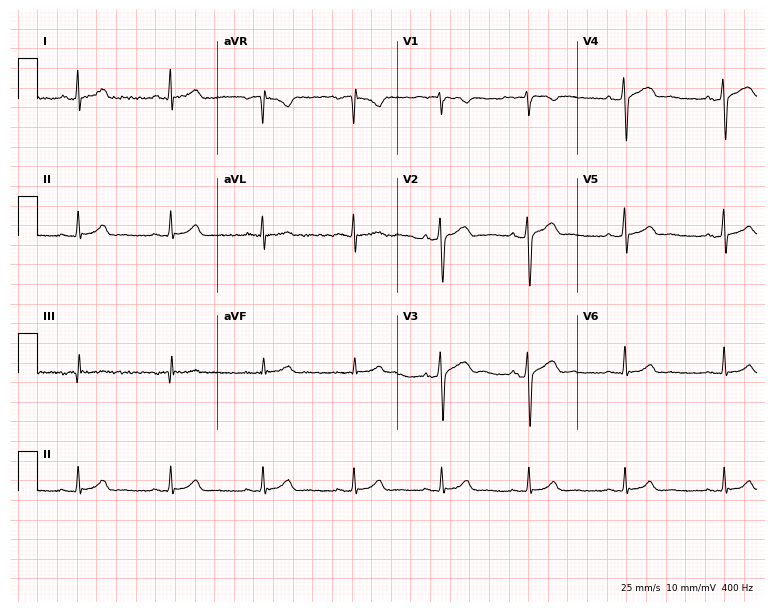
12-lead ECG from a 43-year-old male. Screened for six findings — first-degree AV block, right bundle branch block, left bundle branch block, sinus bradycardia, atrial fibrillation, sinus tachycardia — none is recorded.